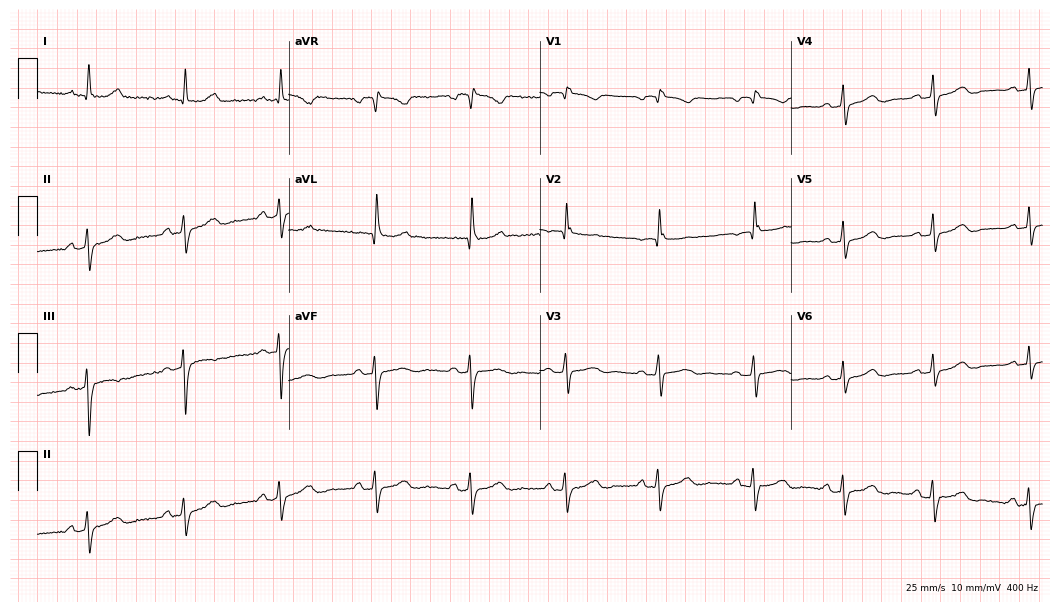
Resting 12-lead electrocardiogram (10.2-second recording at 400 Hz). Patient: a woman, 71 years old. None of these six findings is recorded: first-degree AV block, right bundle branch block (RBBB), left bundle branch block (LBBB), sinus bradycardia, atrial fibrillation (AF), sinus tachycardia. Other findings, if any, are not listed.